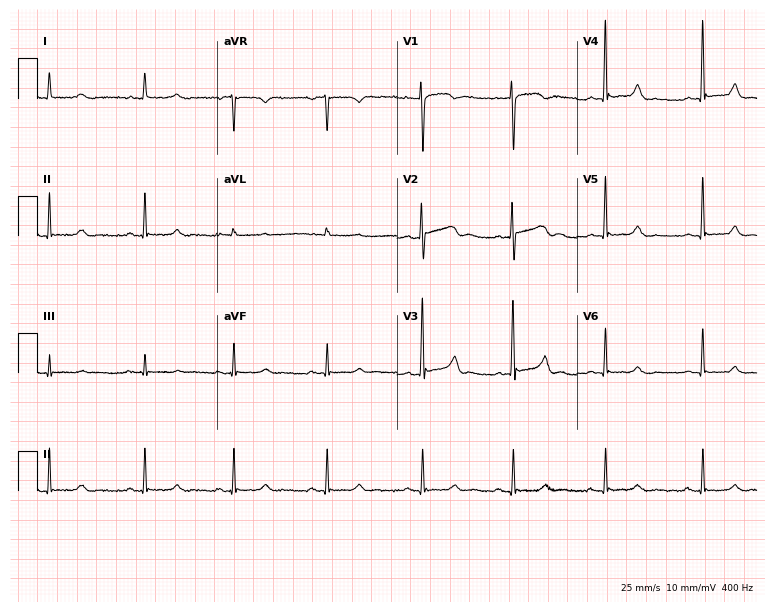
ECG — a 29-year-old woman. Screened for six findings — first-degree AV block, right bundle branch block, left bundle branch block, sinus bradycardia, atrial fibrillation, sinus tachycardia — none is recorded.